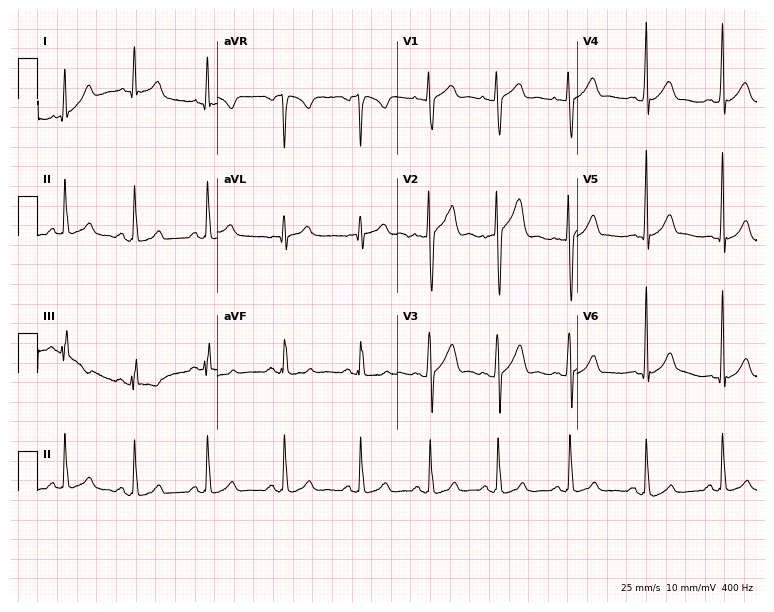
Electrocardiogram (7.3-second recording at 400 Hz), a male, 20 years old. Of the six screened findings (first-degree AV block, right bundle branch block (RBBB), left bundle branch block (LBBB), sinus bradycardia, atrial fibrillation (AF), sinus tachycardia), none is recorded. Only these six findings were labelled.